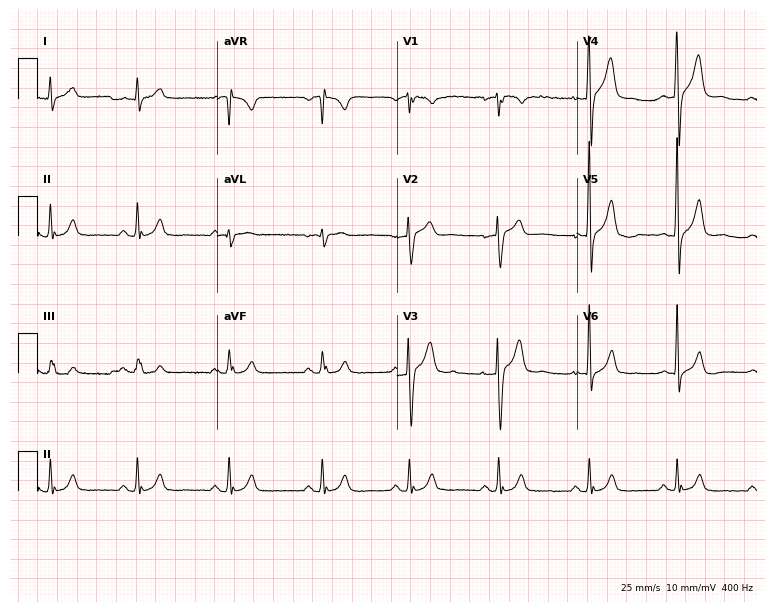
Resting 12-lead electrocardiogram (7.3-second recording at 400 Hz). Patient: a male, 38 years old. None of these six findings is recorded: first-degree AV block, right bundle branch block (RBBB), left bundle branch block (LBBB), sinus bradycardia, atrial fibrillation (AF), sinus tachycardia. Other findings, if any, are not listed.